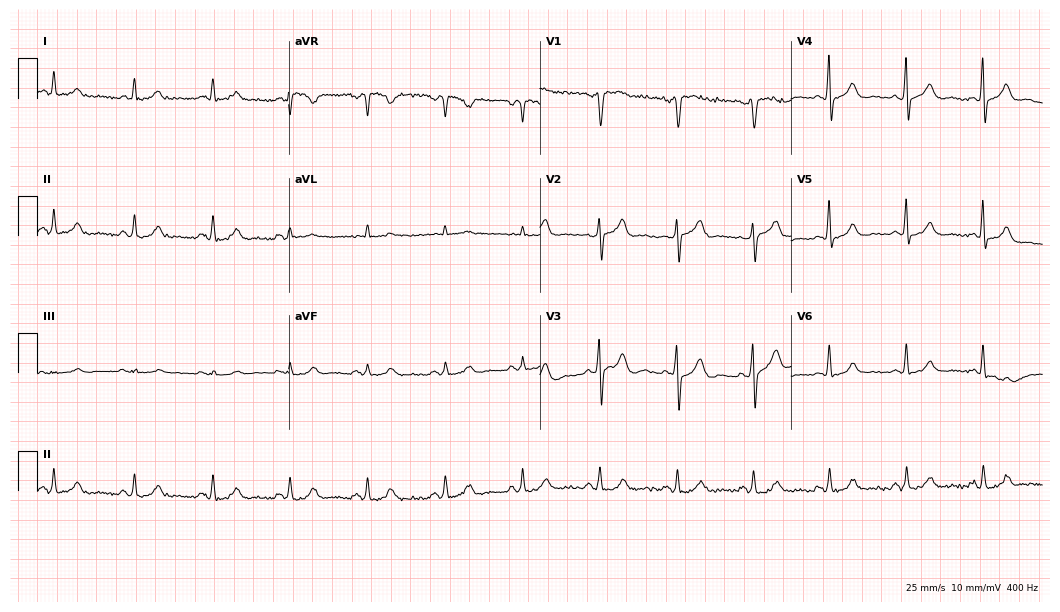
12-lead ECG from a man, 62 years old. Recorded interpretation: within normal limits.